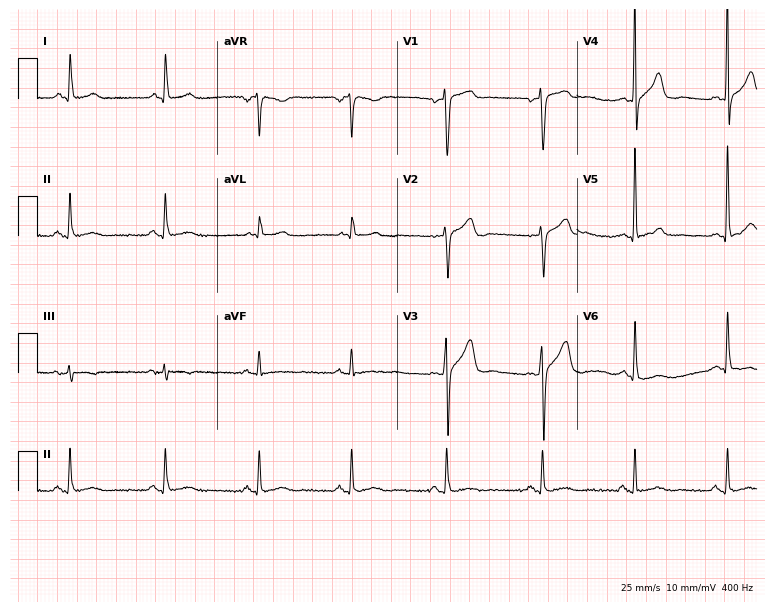
Standard 12-lead ECG recorded from a male, 60 years old (7.3-second recording at 400 Hz). None of these six findings is recorded: first-degree AV block, right bundle branch block, left bundle branch block, sinus bradycardia, atrial fibrillation, sinus tachycardia. Other findings, if any, are not listed.